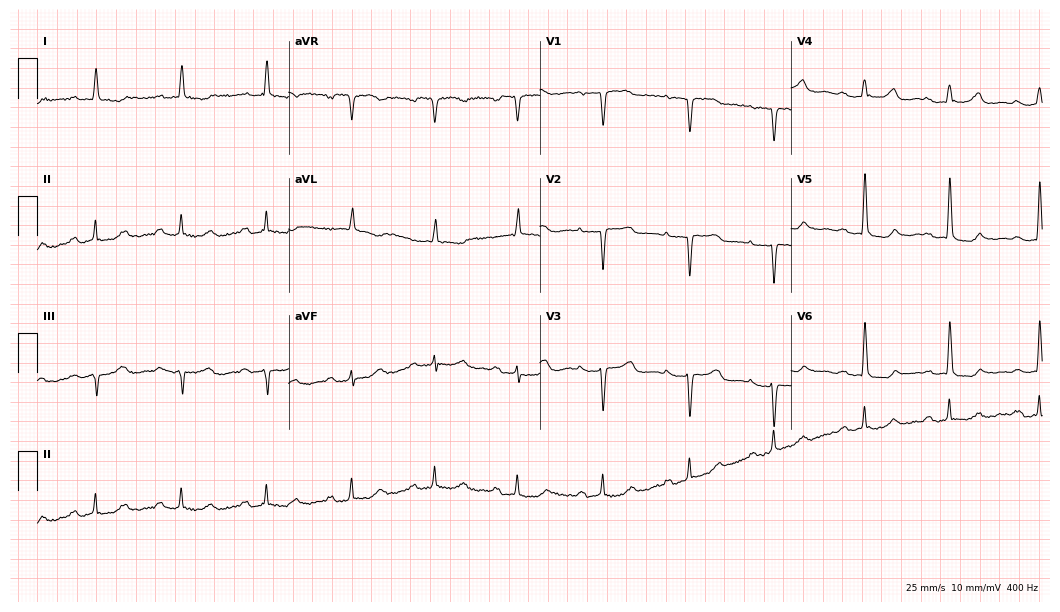
Electrocardiogram (10.2-second recording at 400 Hz), a 72-year-old woman. Of the six screened findings (first-degree AV block, right bundle branch block, left bundle branch block, sinus bradycardia, atrial fibrillation, sinus tachycardia), none is recorded.